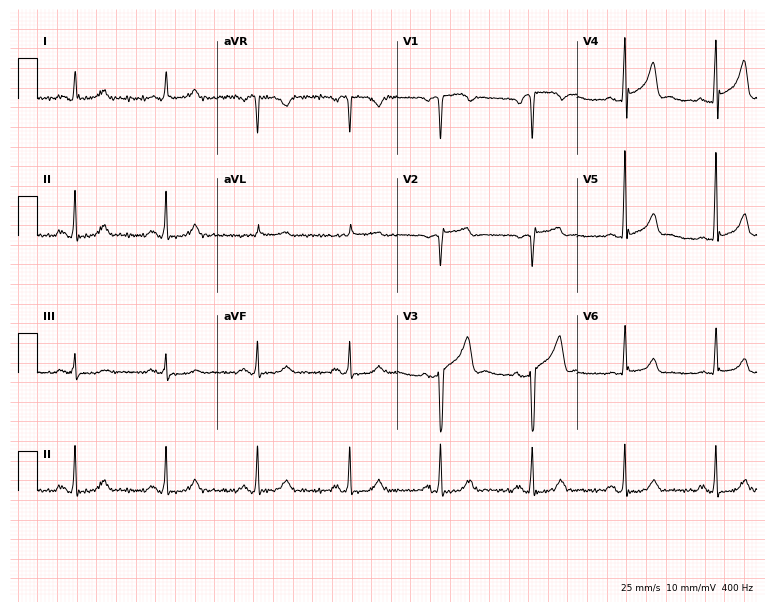
Standard 12-lead ECG recorded from a man, 58 years old. None of these six findings is recorded: first-degree AV block, right bundle branch block, left bundle branch block, sinus bradycardia, atrial fibrillation, sinus tachycardia.